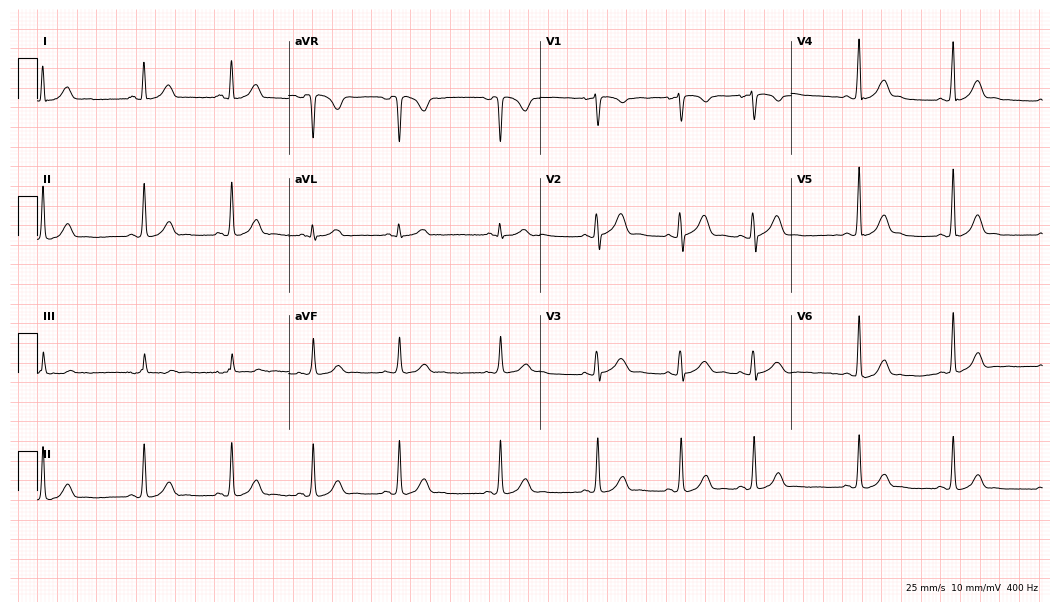
12-lead ECG from a 26-year-old female (10.2-second recording at 400 Hz). Recorded interpretation: within normal limits.